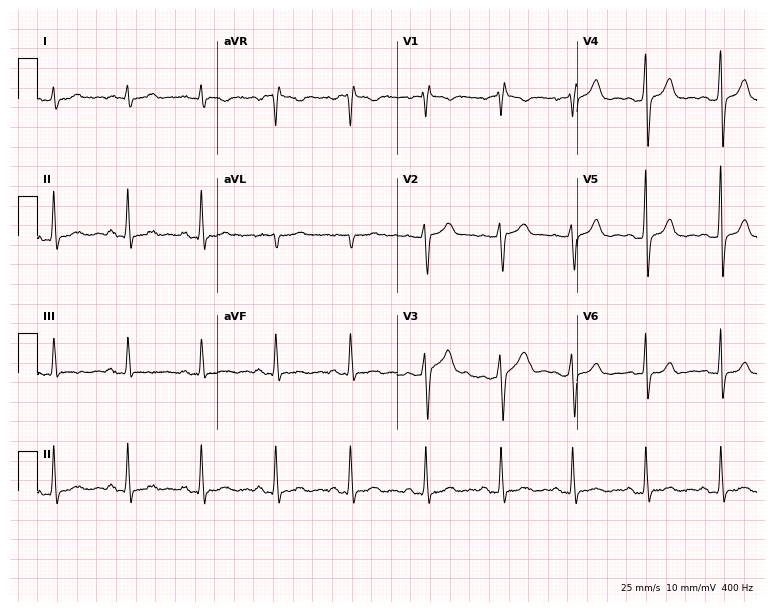
12-lead ECG from a female, 60 years old. Screened for six findings — first-degree AV block, right bundle branch block, left bundle branch block, sinus bradycardia, atrial fibrillation, sinus tachycardia — none is recorded. Findings outside these six are not listed.